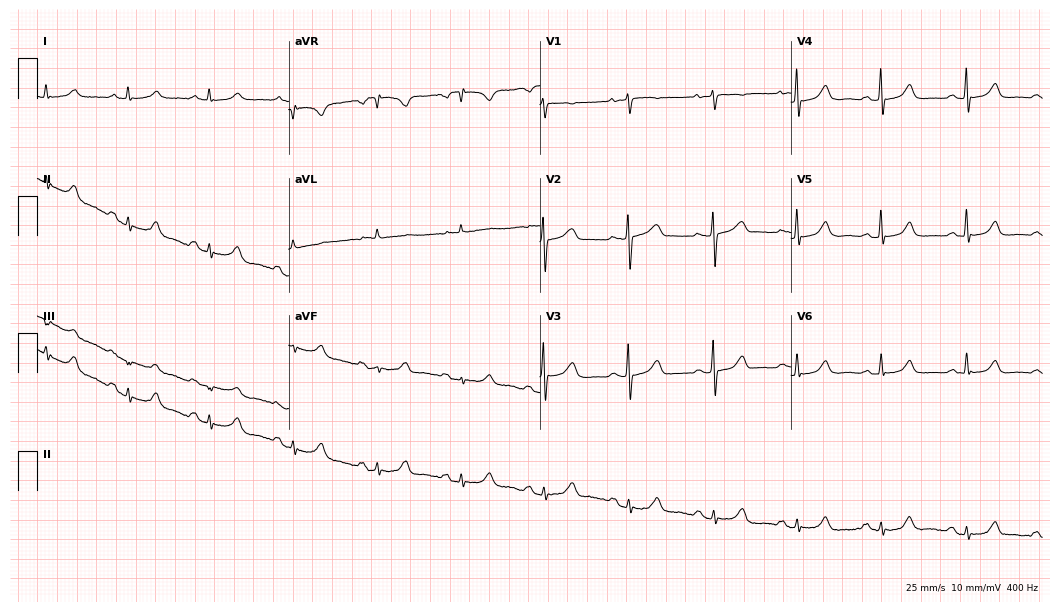
12-lead ECG (10.2-second recording at 400 Hz) from a 60-year-old female patient. Screened for six findings — first-degree AV block, right bundle branch block, left bundle branch block, sinus bradycardia, atrial fibrillation, sinus tachycardia — none is recorded.